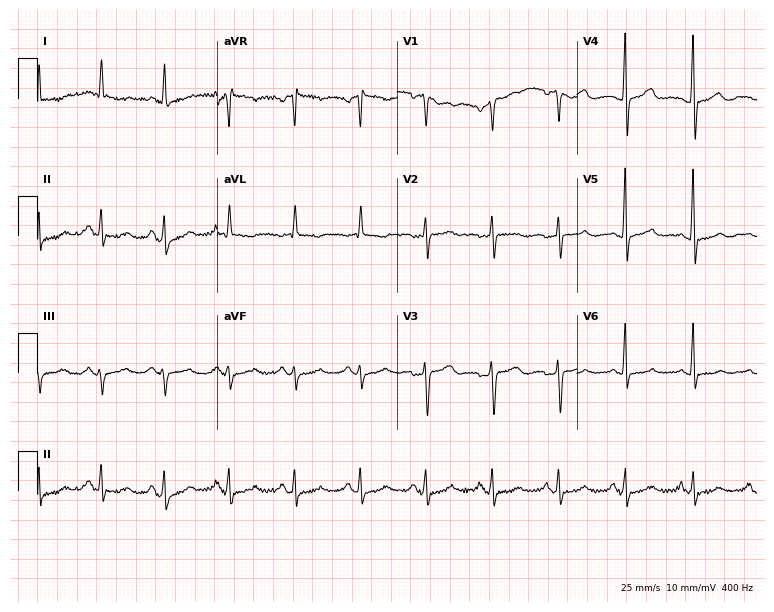
Resting 12-lead electrocardiogram (7.3-second recording at 400 Hz). Patient: a 66-year-old female. None of these six findings is recorded: first-degree AV block, right bundle branch block (RBBB), left bundle branch block (LBBB), sinus bradycardia, atrial fibrillation (AF), sinus tachycardia.